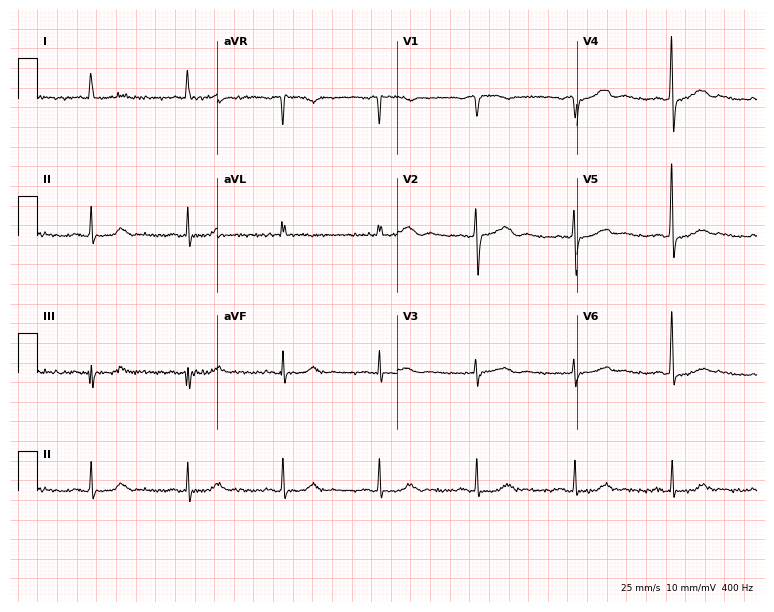
12-lead ECG from a 78-year-old female (7.3-second recording at 400 Hz). Recorded interpretation: within normal limits.